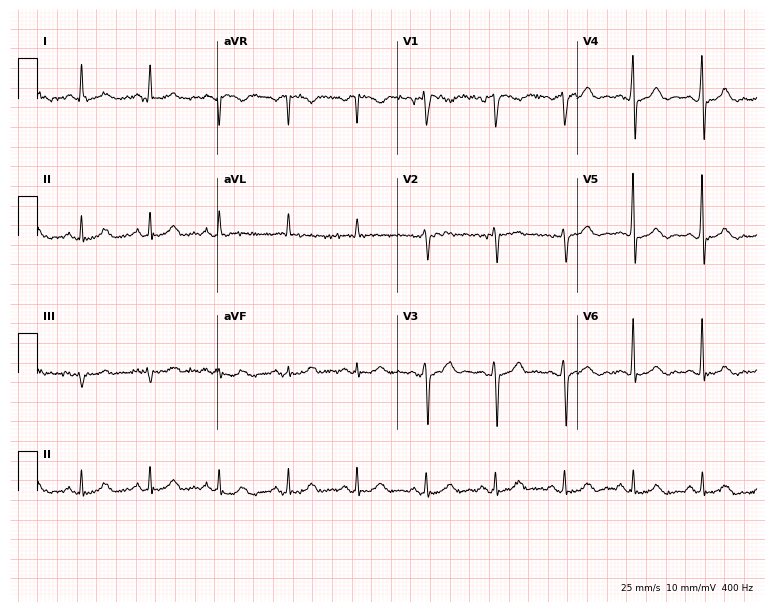
Standard 12-lead ECG recorded from a male, 77 years old. Read as a normal ECG.